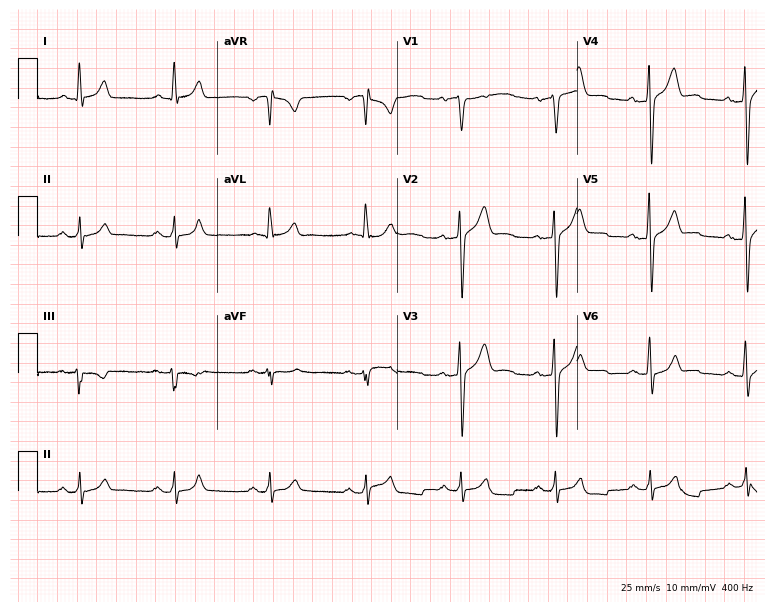
Resting 12-lead electrocardiogram. Patient: a 62-year-old male. None of these six findings is recorded: first-degree AV block, right bundle branch block, left bundle branch block, sinus bradycardia, atrial fibrillation, sinus tachycardia.